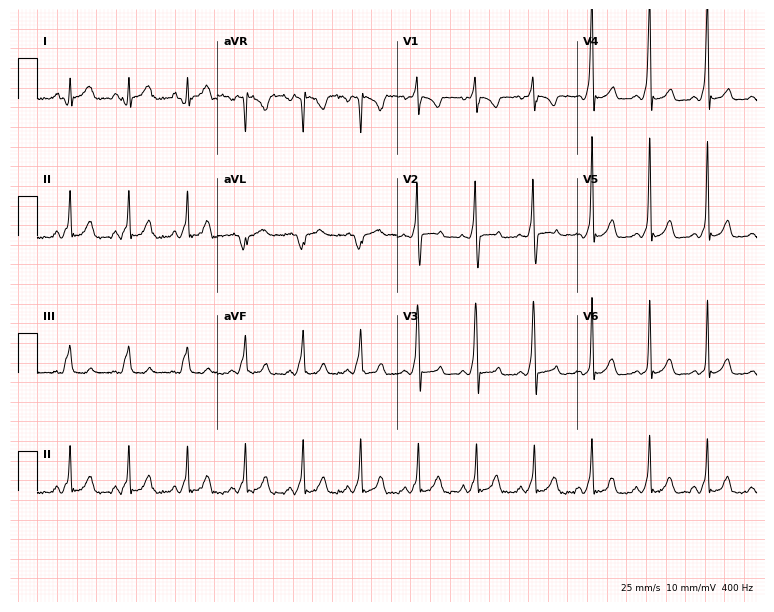
Resting 12-lead electrocardiogram. Patient: a 36-year-old male. None of these six findings is recorded: first-degree AV block, right bundle branch block, left bundle branch block, sinus bradycardia, atrial fibrillation, sinus tachycardia.